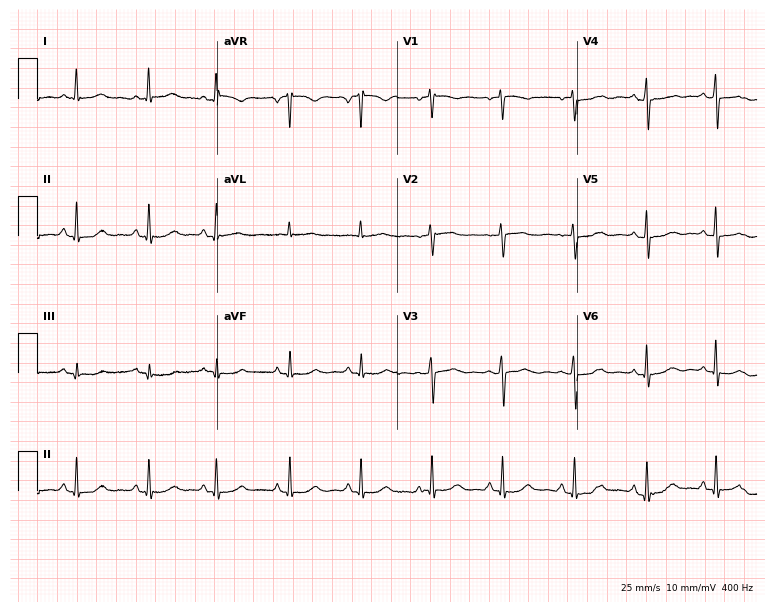
12-lead ECG from a female, 78 years old (7.3-second recording at 400 Hz). No first-degree AV block, right bundle branch block, left bundle branch block, sinus bradycardia, atrial fibrillation or sinus tachycardia recorded for this tracing.